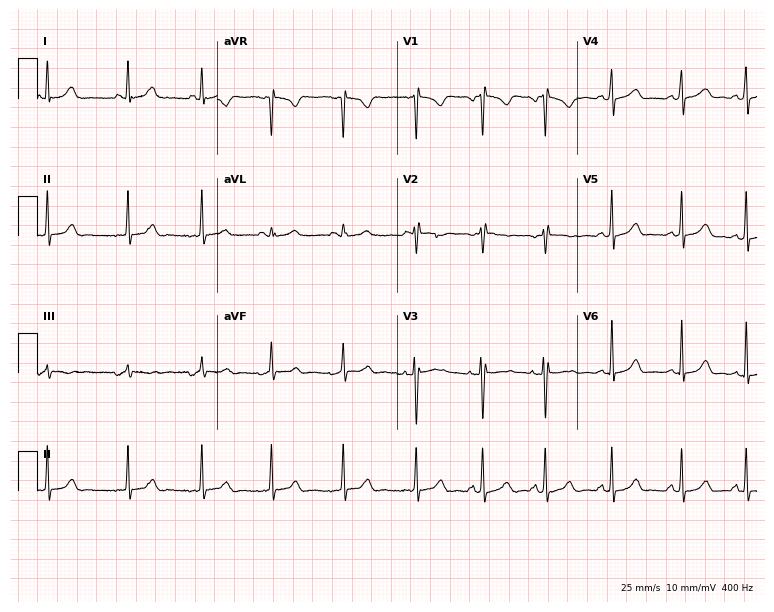
ECG (7.3-second recording at 400 Hz) — a 22-year-old female patient. Labelled as a normal ECG.